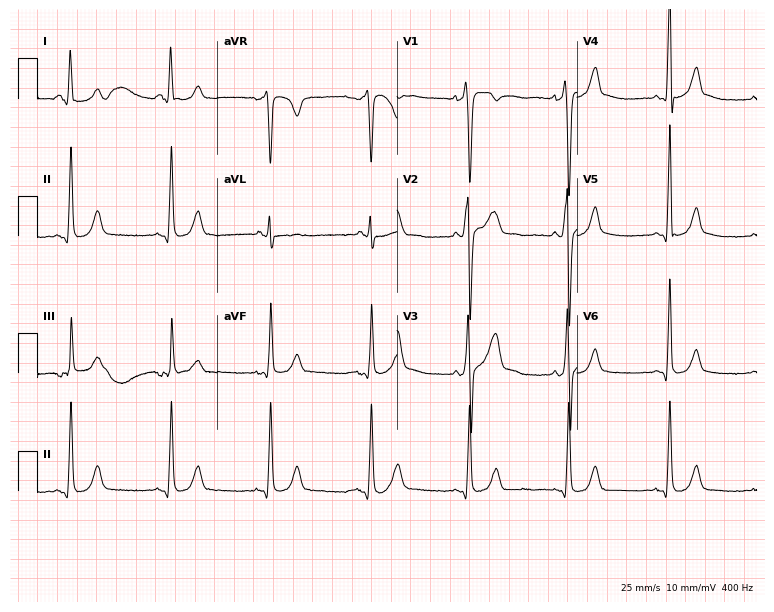
12-lead ECG from a 45-year-old man (7.3-second recording at 400 Hz). No first-degree AV block, right bundle branch block, left bundle branch block, sinus bradycardia, atrial fibrillation or sinus tachycardia recorded for this tracing.